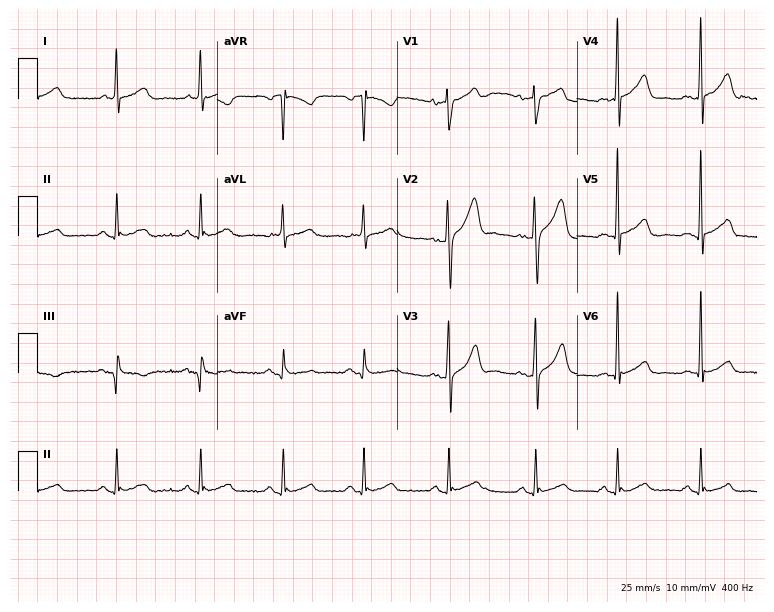
Standard 12-lead ECG recorded from a 46-year-old male patient. Read as a normal ECG.